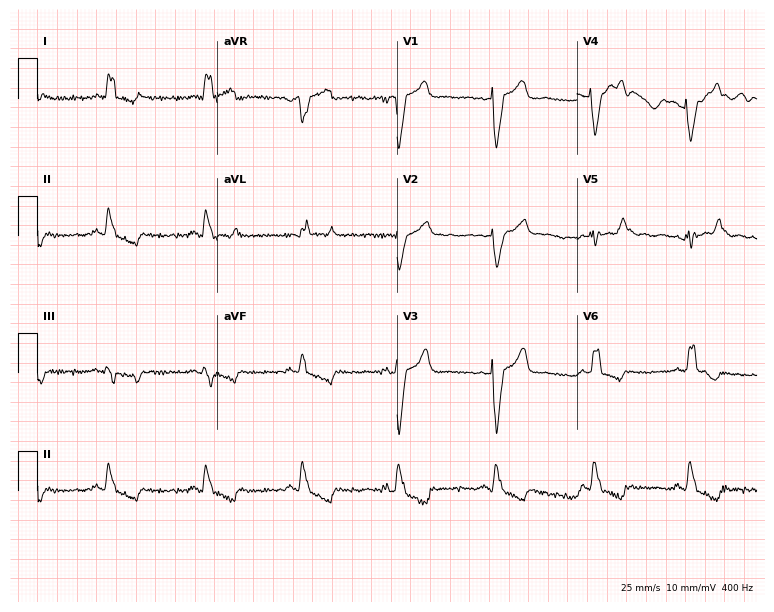
12-lead ECG from a 75-year-old woman. Findings include left bundle branch block.